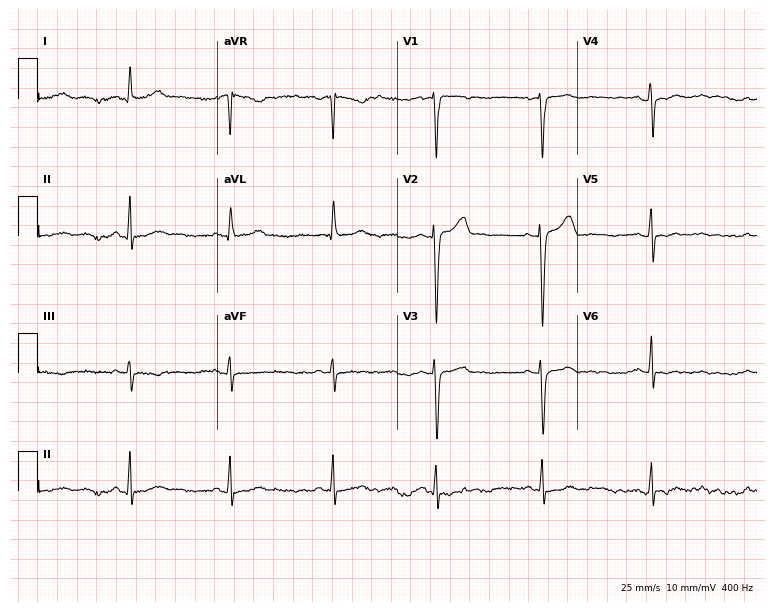
12-lead ECG from a male patient, 48 years old. Labelled as a normal ECG.